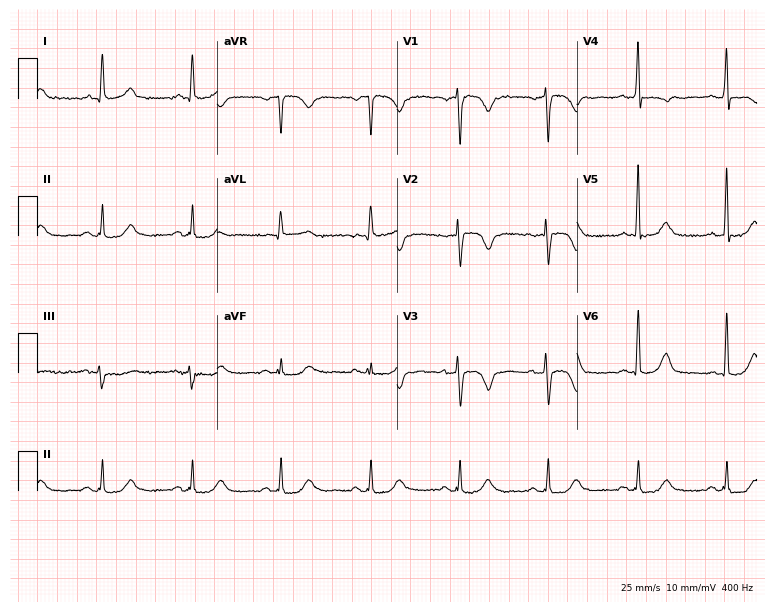
12-lead ECG from a 60-year-old woman. No first-degree AV block, right bundle branch block (RBBB), left bundle branch block (LBBB), sinus bradycardia, atrial fibrillation (AF) or sinus tachycardia recorded for this tracing. Findings outside these six are not listed.